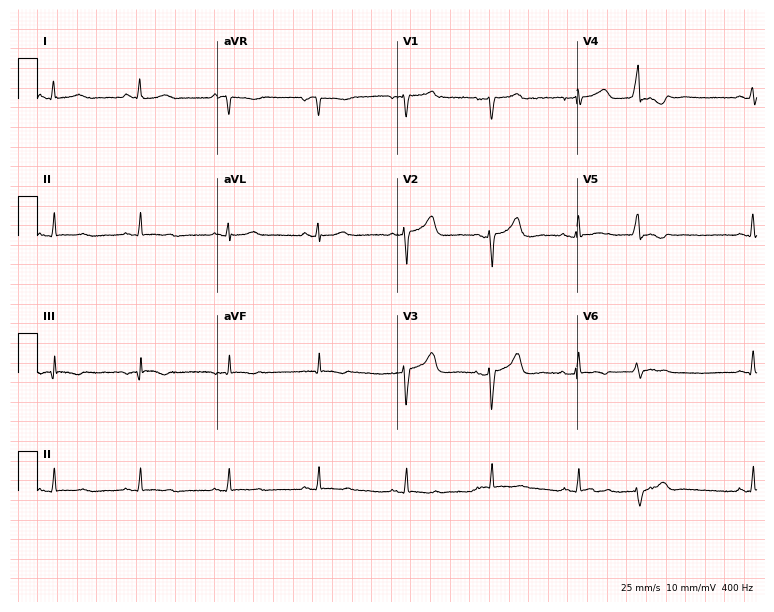
Resting 12-lead electrocardiogram (7.3-second recording at 400 Hz). Patient: a 42-year-old female. None of these six findings is recorded: first-degree AV block, right bundle branch block, left bundle branch block, sinus bradycardia, atrial fibrillation, sinus tachycardia.